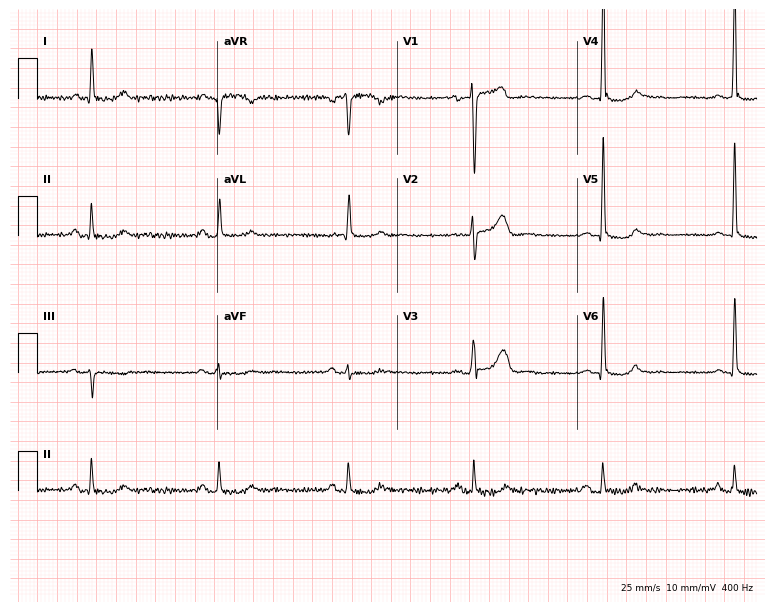
Electrocardiogram, a 71-year-old man. Interpretation includes sinus bradycardia (a sinus rate of 50 beats per minute or less).